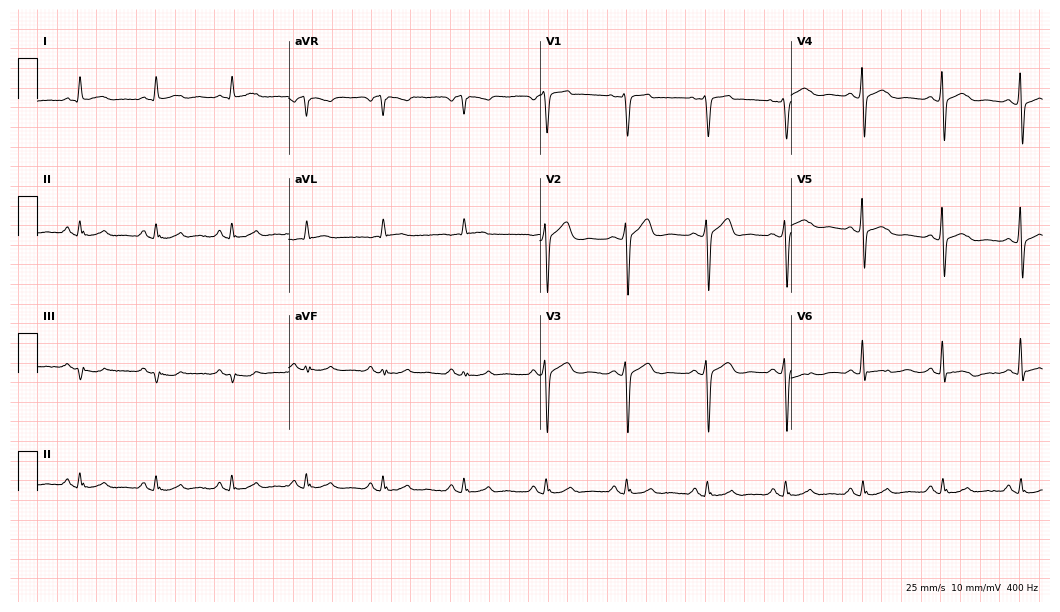
Electrocardiogram (10.2-second recording at 400 Hz), a 50-year-old man. Overall reading on record: normal ECG.